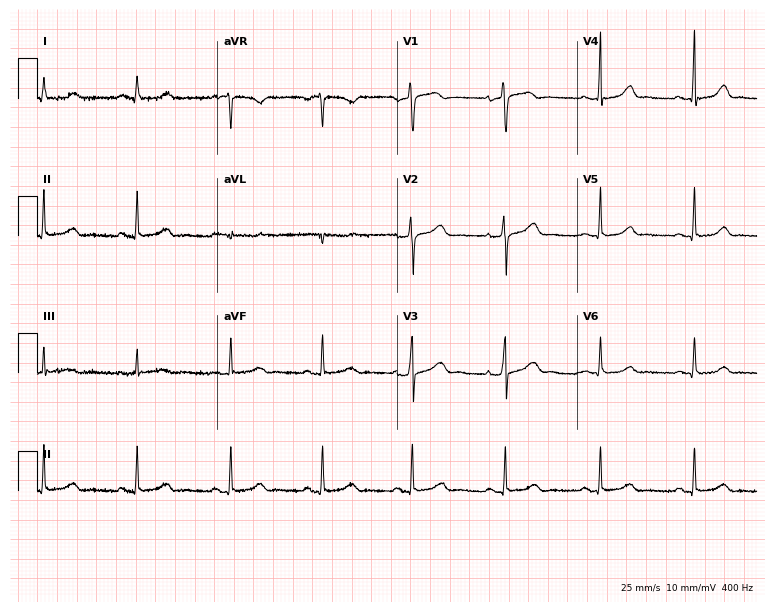
Standard 12-lead ECG recorded from a female patient, 51 years old. Read as a normal ECG.